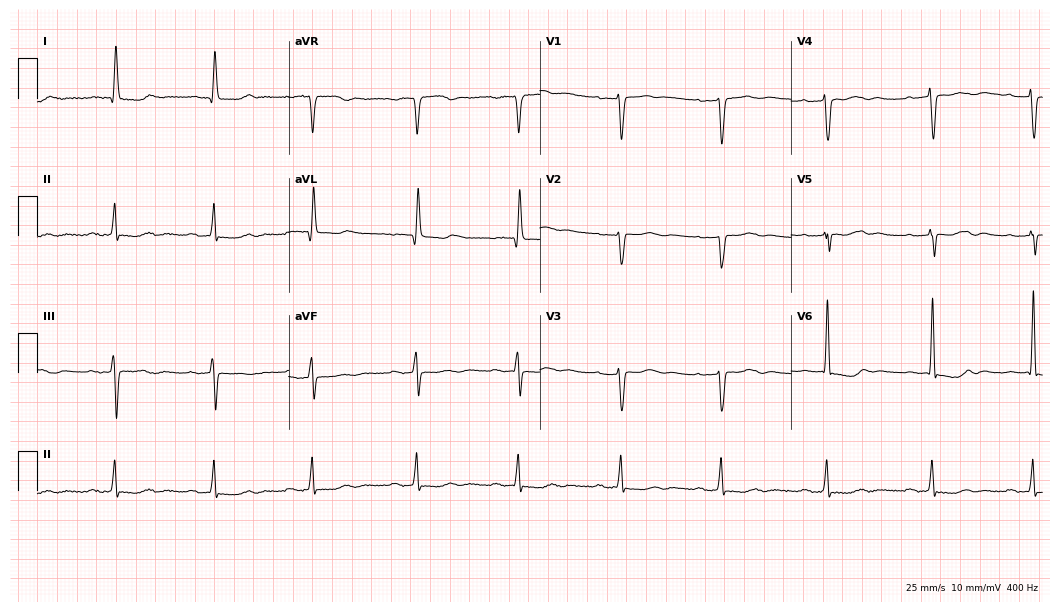
Standard 12-lead ECG recorded from a 77-year-old woman (10.2-second recording at 400 Hz). The tracing shows first-degree AV block.